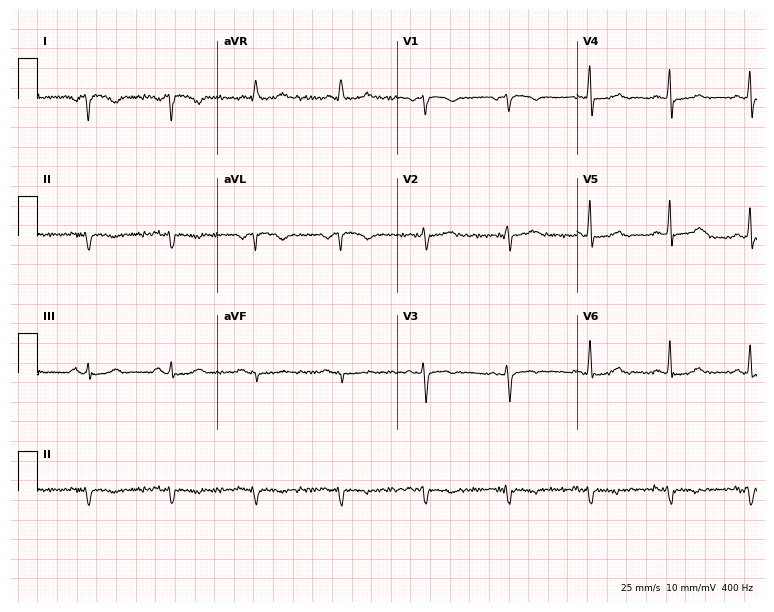
Electrocardiogram (7.3-second recording at 400 Hz), a 67-year-old female. Of the six screened findings (first-degree AV block, right bundle branch block (RBBB), left bundle branch block (LBBB), sinus bradycardia, atrial fibrillation (AF), sinus tachycardia), none is recorded. Other findings, if any, are not listed.